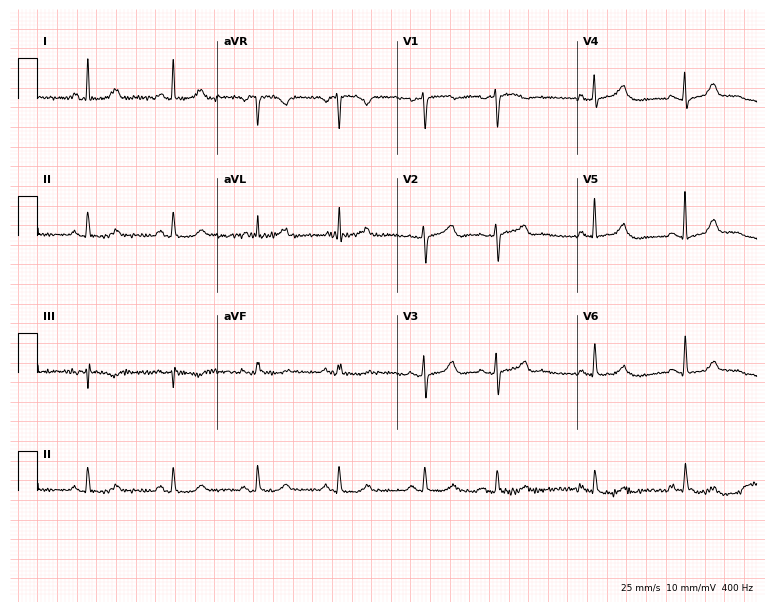
ECG (7.3-second recording at 400 Hz) — a 73-year-old female. Labelled as a normal ECG.